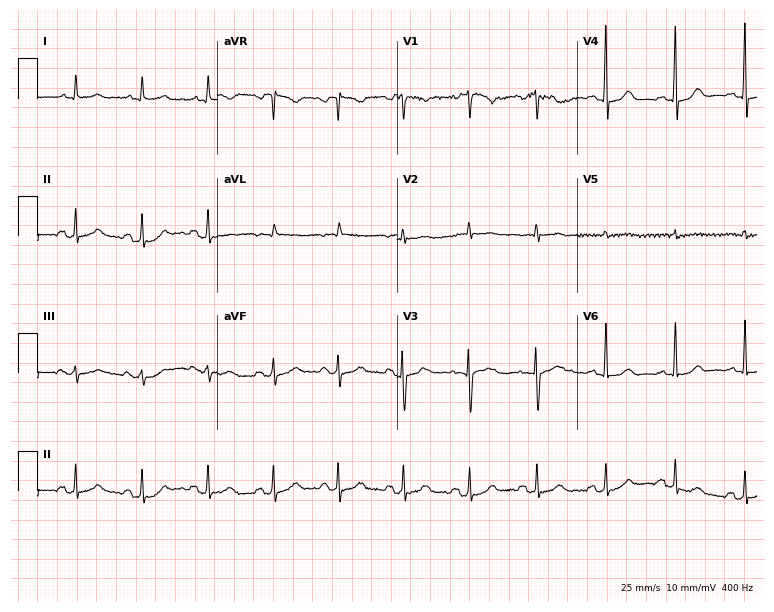
Standard 12-lead ECG recorded from a 46-year-old female. None of these six findings is recorded: first-degree AV block, right bundle branch block, left bundle branch block, sinus bradycardia, atrial fibrillation, sinus tachycardia.